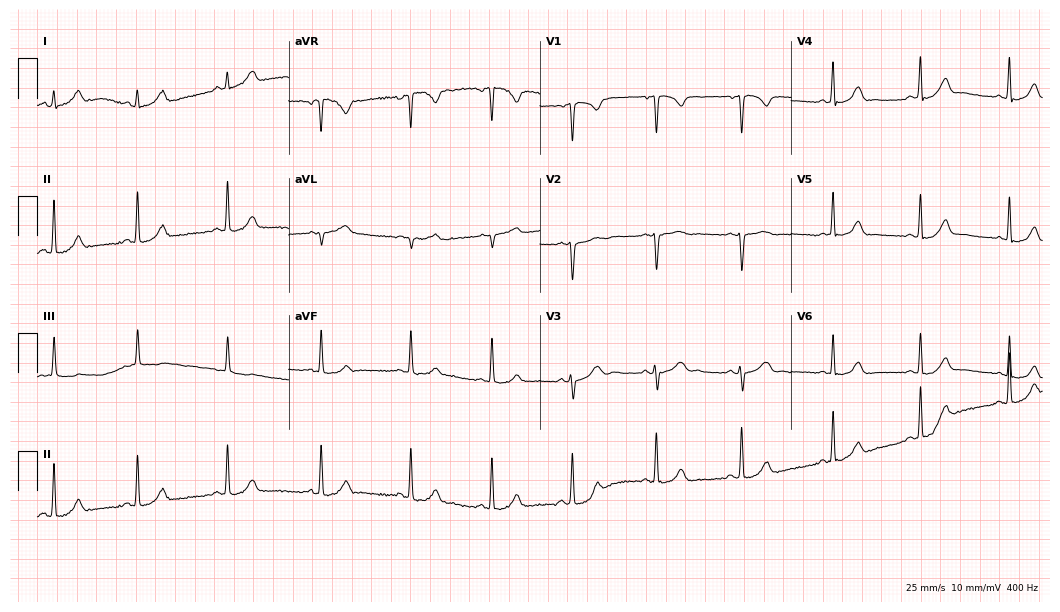
Resting 12-lead electrocardiogram. Patient: a female, 17 years old. None of these six findings is recorded: first-degree AV block, right bundle branch block, left bundle branch block, sinus bradycardia, atrial fibrillation, sinus tachycardia. Other findings, if any, are not listed.